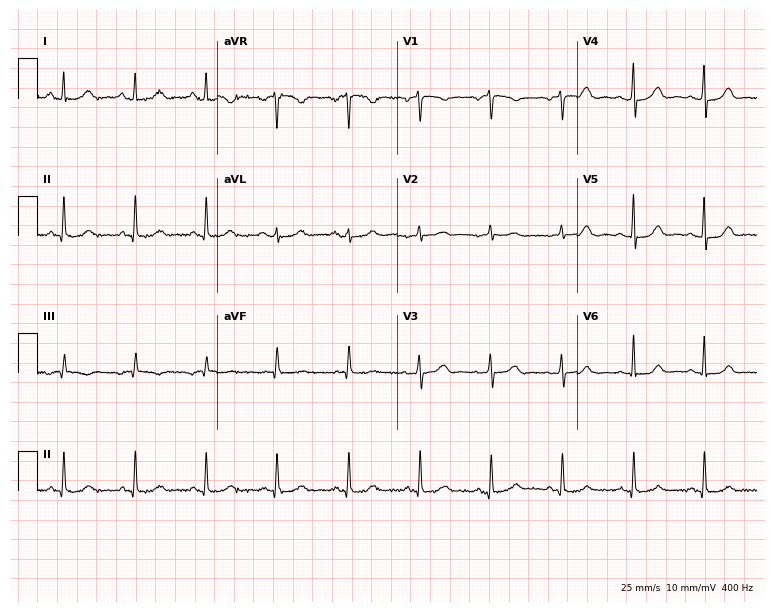
Resting 12-lead electrocardiogram. Patient: a 72-year-old female. Read as a normal ECG.